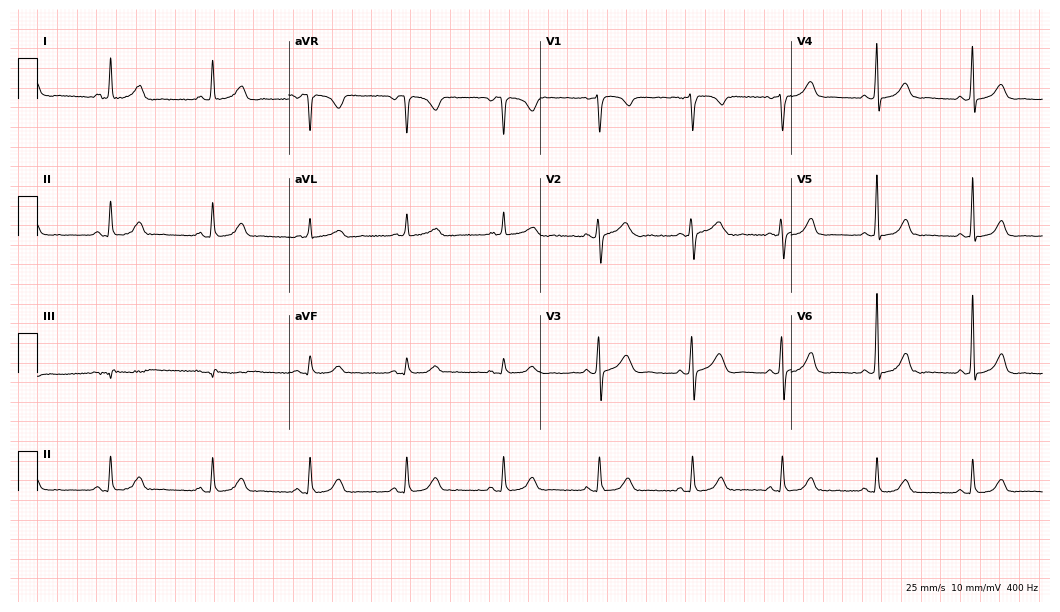
Resting 12-lead electrocardiogram (10.2-second recording at 400 Hz). Patient: a male, 60 years old. Read as a normal ECG.